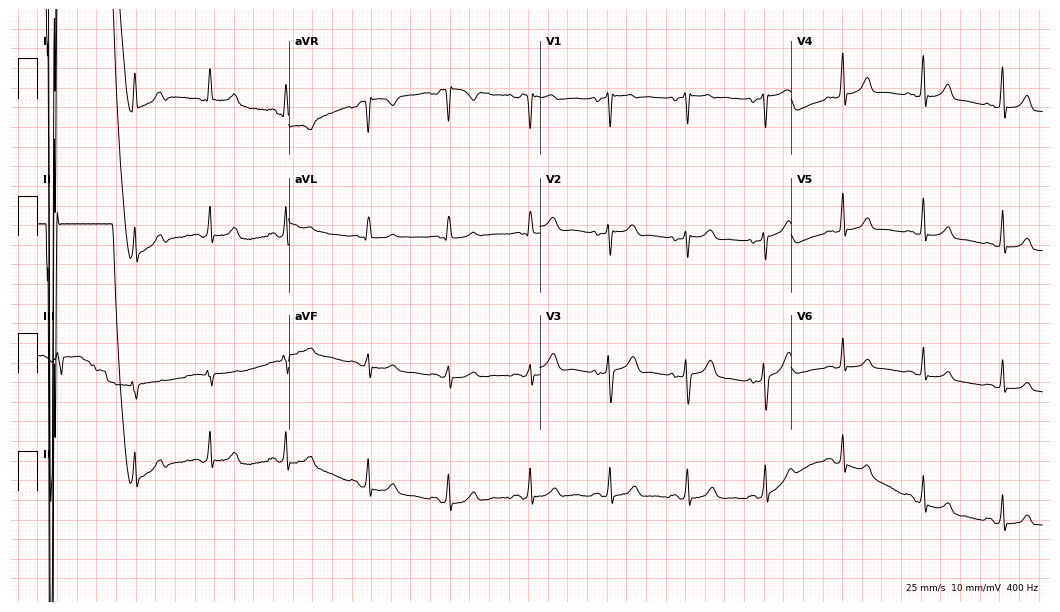
12-lead ECG from a 37-year-old female patient. Recorded interpretation: within normal limits.